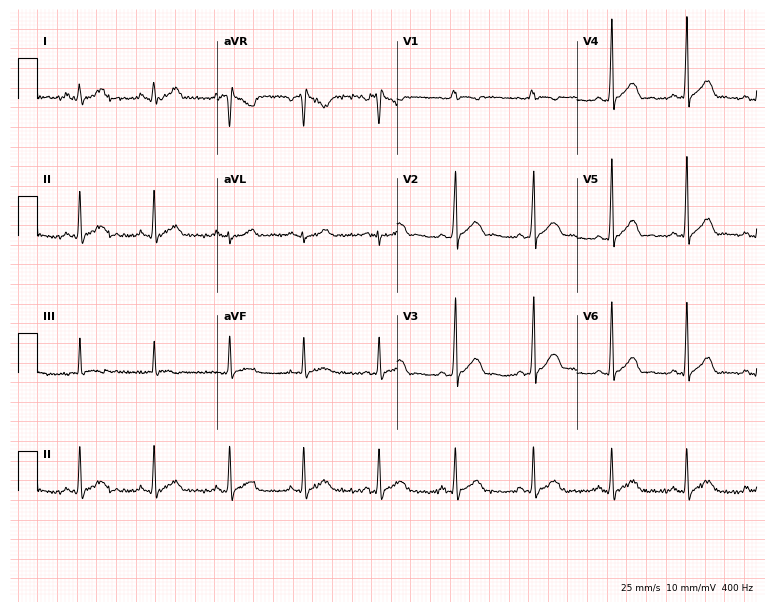
ECG — a 23-year-old male patient. Labelled as a normal ECG.